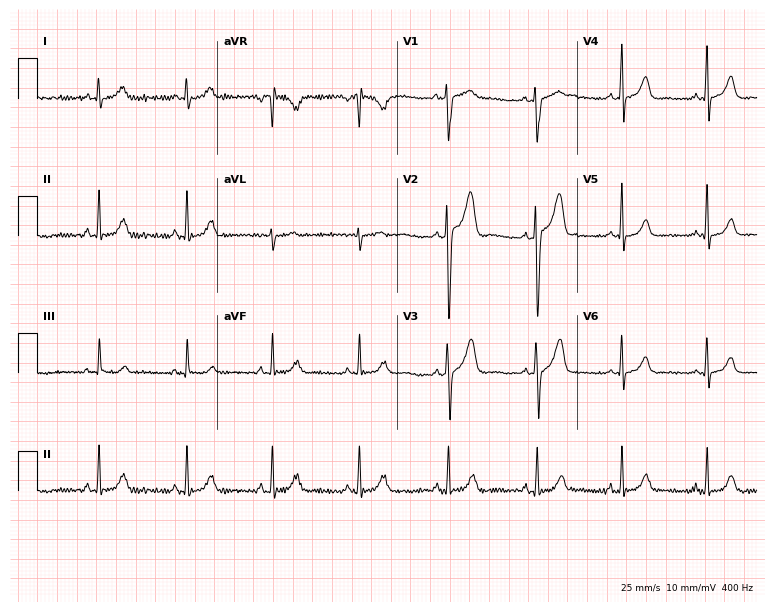
12-lead ECG from a 24-year-old male. No first-degree AV block, right bundle branch block, left bundle branch block, sinus bradycardia, atrial fibrillation or sinus tachycardia recorded for this tracing. Findings outside these six are not listed.